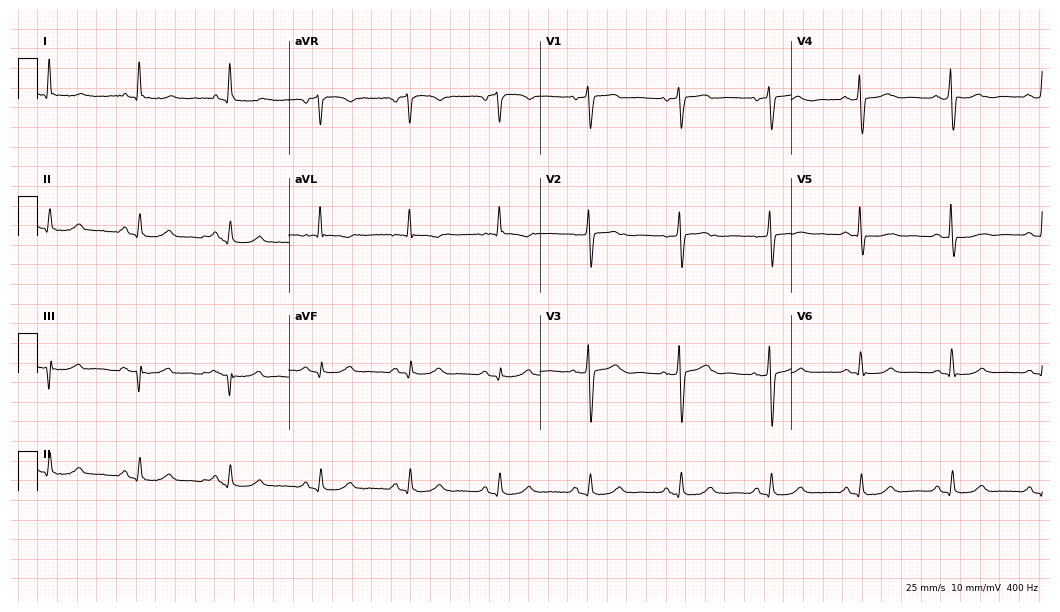
Electrocardiogram (10.2-second recording at 400 Hz), a 67-year-old female patient. Of the six screened findings (first-degree AV block, right bundle branch block, left bundle branch block, sinus bradycardia, atrial fibrillation, sinus tachycardia), none is recorded.